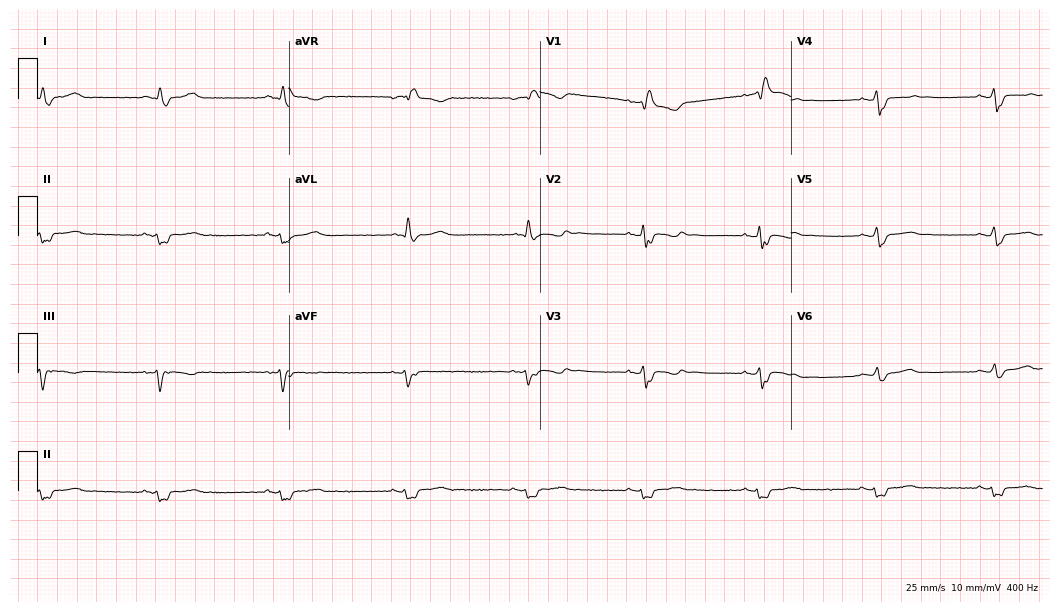
12-lead ECG from a 54-year-old man. Findings include right bundle branch block, sinus bradycardia (a sinus rate of 50 beats per minute or less).